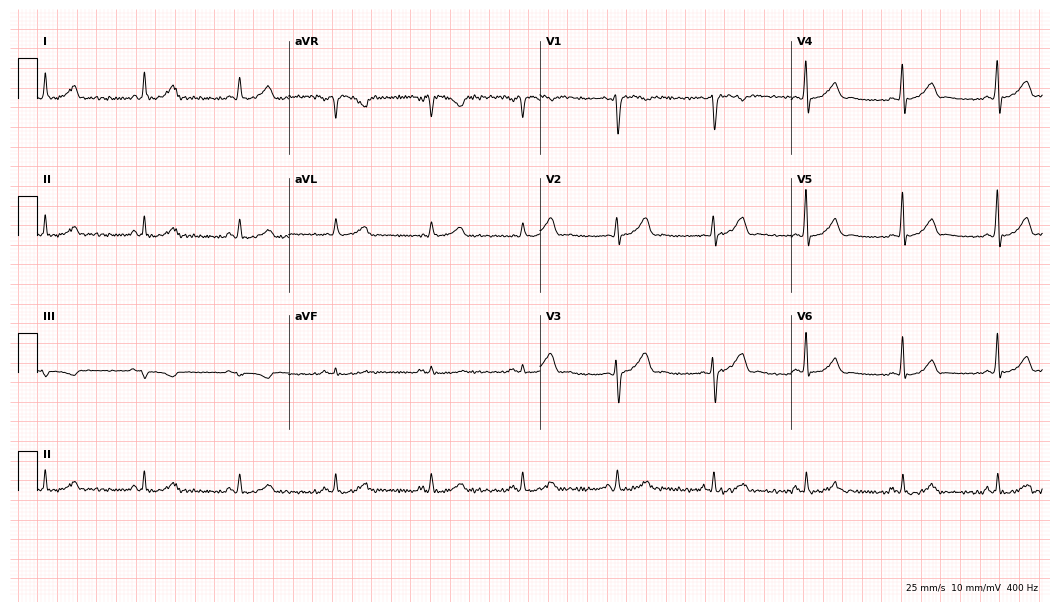
ECG — a woman, 30 years old. Labelled as a normal ECG.